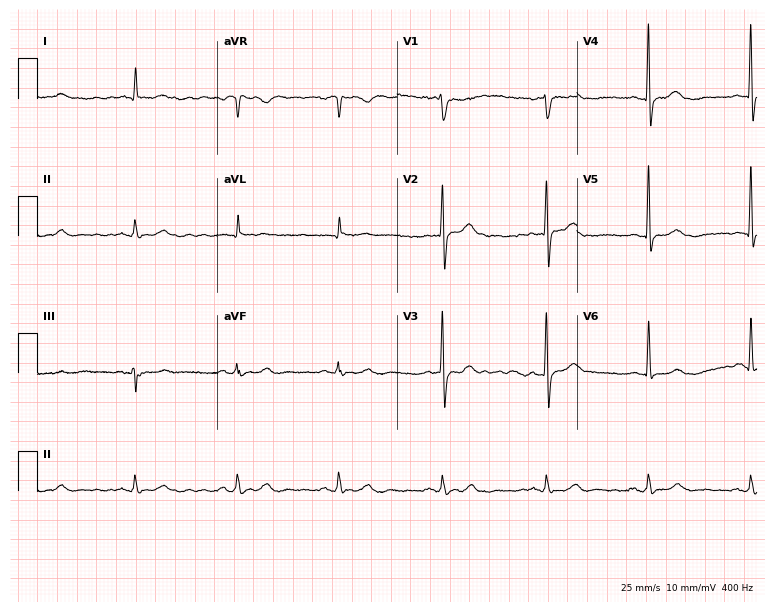
ECG — a 67-year-old male. Labelled as a normal ECG.